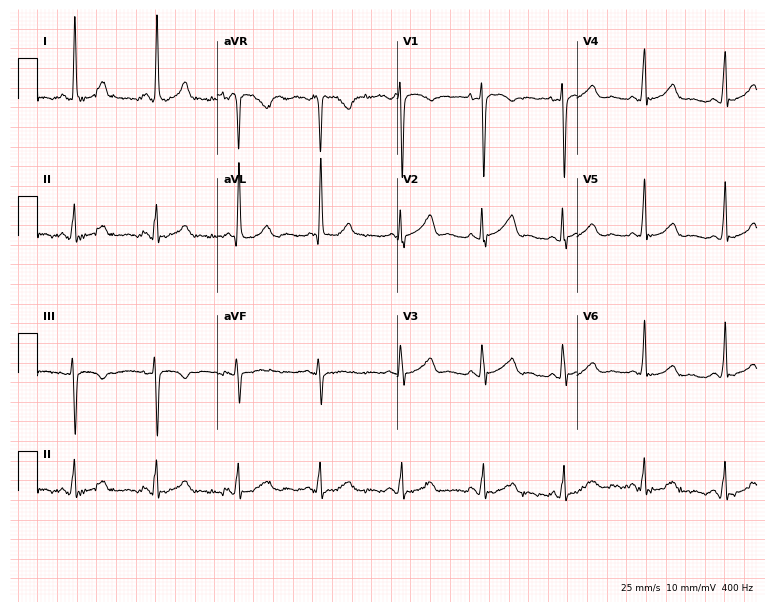
Resting 12-lead electrocardiogram. Patient: a woman, 58 years old. None of these six findings is recorded: first-degree AV block, right bundle branch block, left bundle branch block, sinus bradycardia, atrial fibrillation, sinus tachycardia.